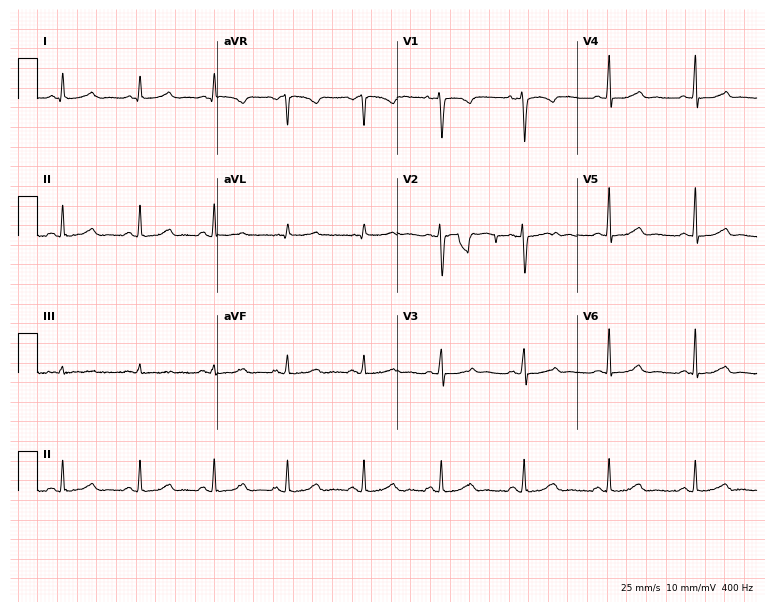
12-lead ECG from a 32-year-old female (7.3-second recording at 400 Hz). No first-degree AV block, right bundle branch block (RBBB), left bundle branch block (LBBB), sinus bradycardia, atrial fibrillation (AF) or sinus tachycardia recorded for this tracing.